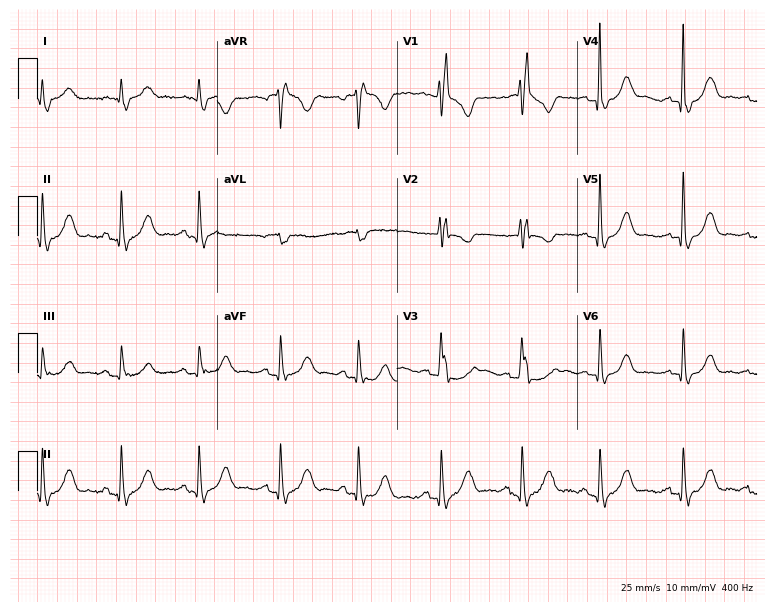
Electrocardiogram (7.3-second recording at 400 Hz), an 85-year-old man. Interpretation includes right bundle branch block.